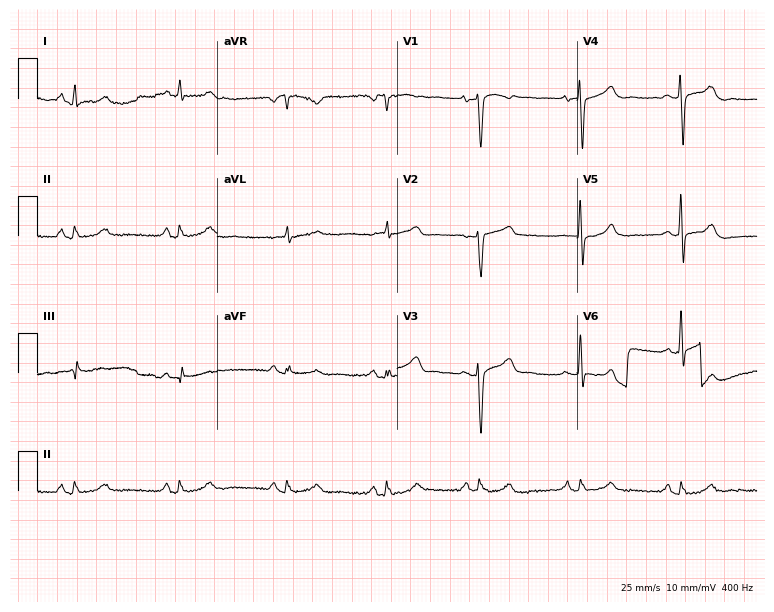
12-lead ECG from a 64-year-old man. Screened for six findings — first-degree AV block, right bundle branch block, left bundle branch block, sinus bradycardia, atrial fibrillation, sinus tachycardia — none is recorded. Other findings, if any, are not listed.